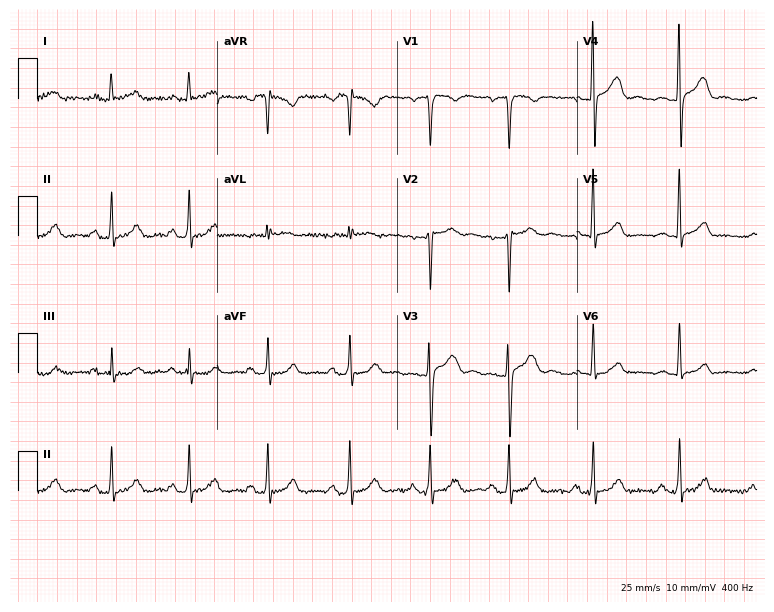
Resting 12-lead electrocardiogram. Patient: a 27-year-old male. None of these six findings is recorded: first-degree AV block, right bundle branch block (RBBB), left bundle branch block (LBBB), sinus bradycardia, atrial fibrillation (AF), sinus tachycardia.